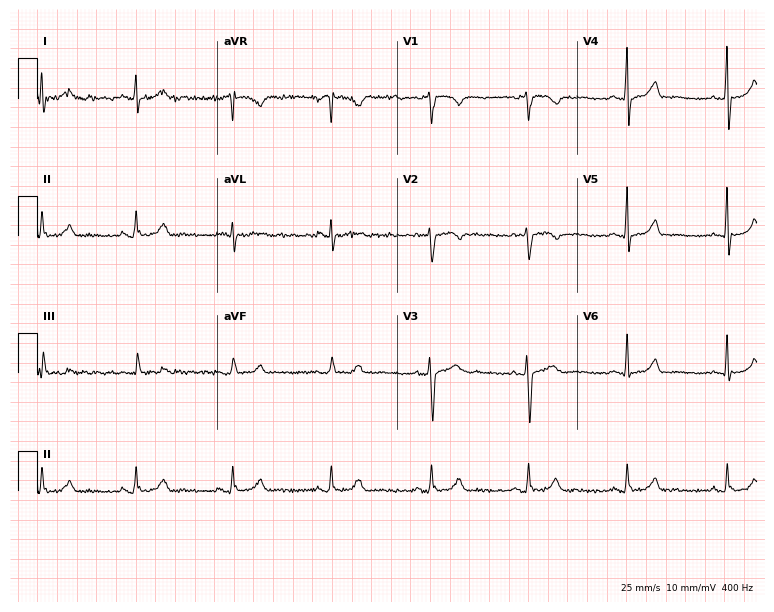
12-lead ECG (7.3-second recording at 400 Hz) from a 43-year-old female. Labelled as a normal ECG.